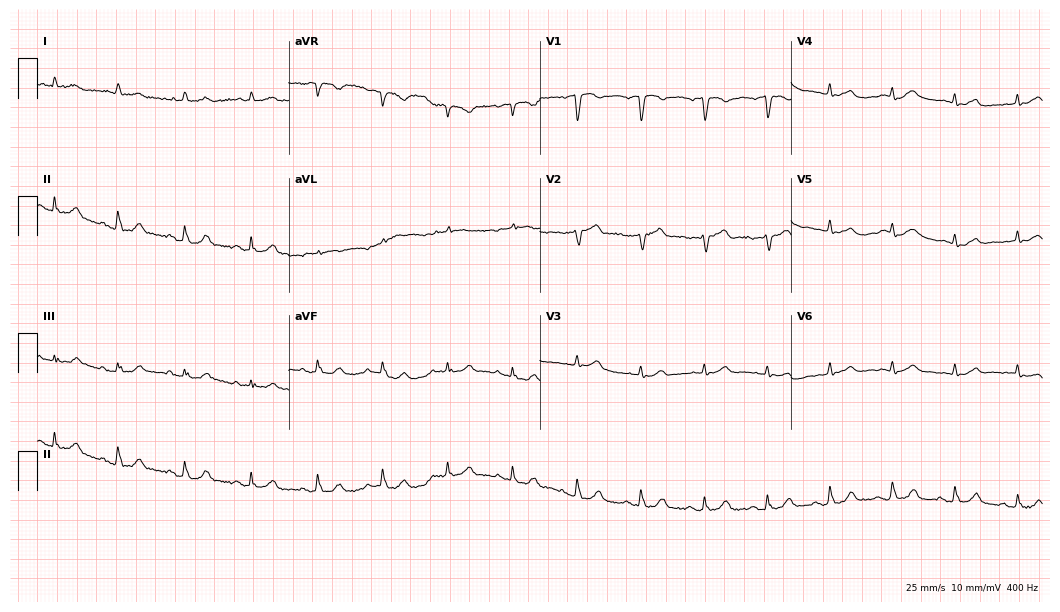
12-lead ECG from an 85-year-old man. Labelled as a normal ECG.